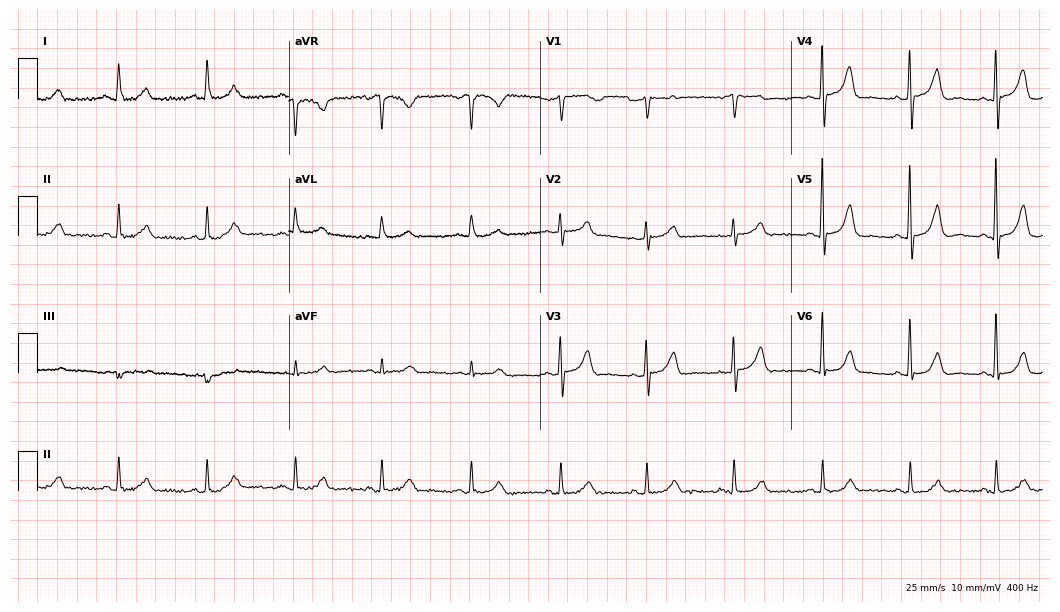
12-lead ECG from an 80-year-old woman (10.2-second recording at 400 Hz). Recorded interpretation: within normal limits.